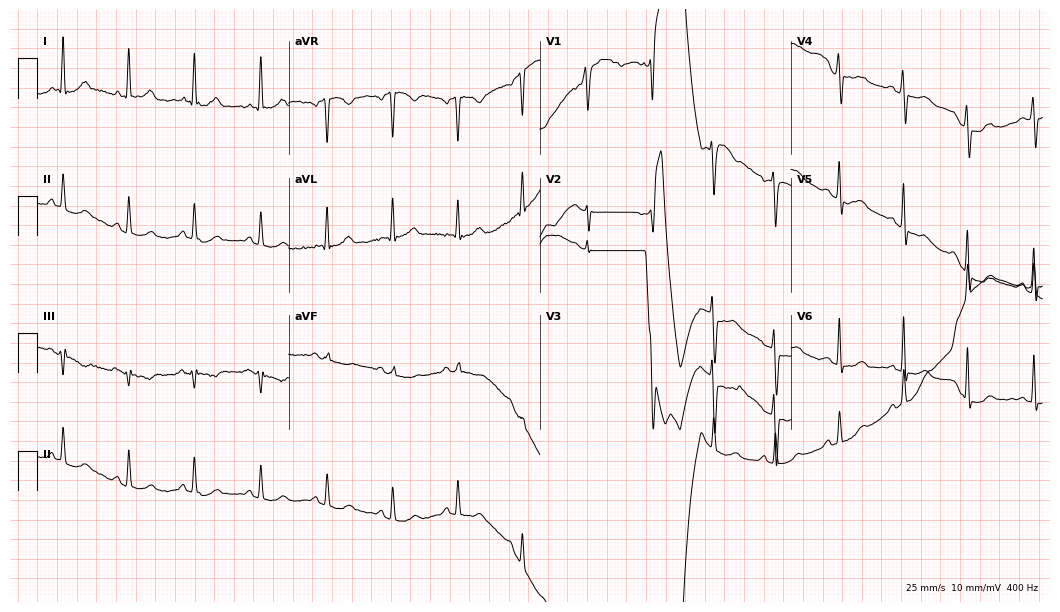
12-lead ECG from a 66-year-old woman (10.2-second recording at 400 Hz). Recorded interpretation: within normal limits.